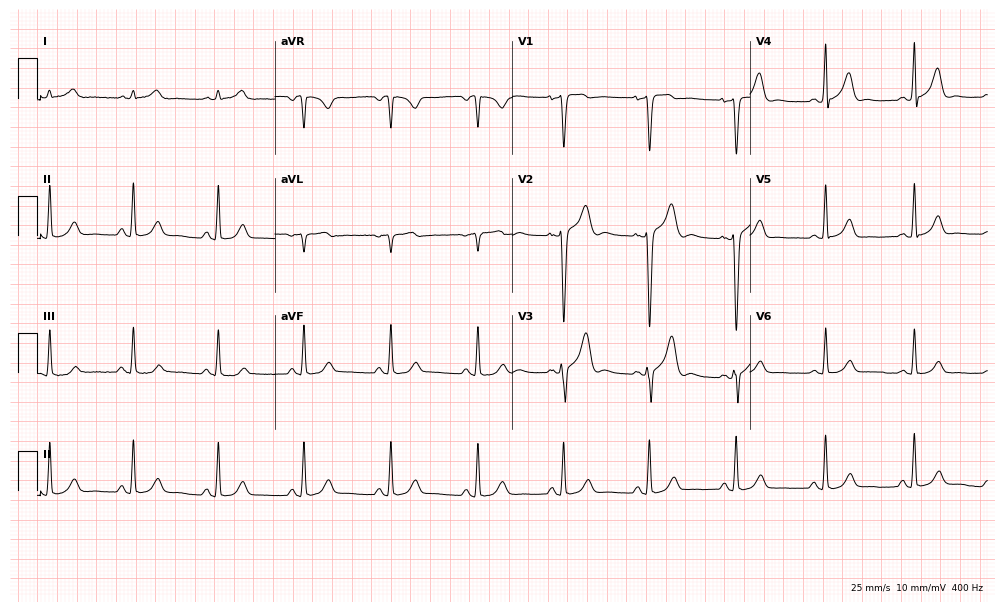
Electrocardiogram, a 38-year-old man. Of the six screened findings (first-degree AV block, right bundle branch block, left bundle branch block, sinus bradycardia, atrial fibrillation, sinus tachycardia), none is recorded.